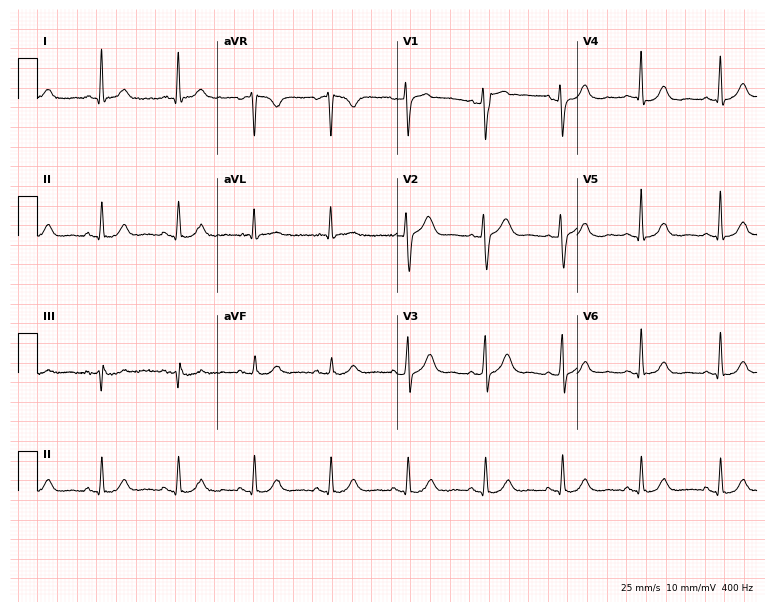
Standard 12-lead ECG recorded from a female, 69 years old (7.3-second recording at 400 Hz). Read as a normal ECG.